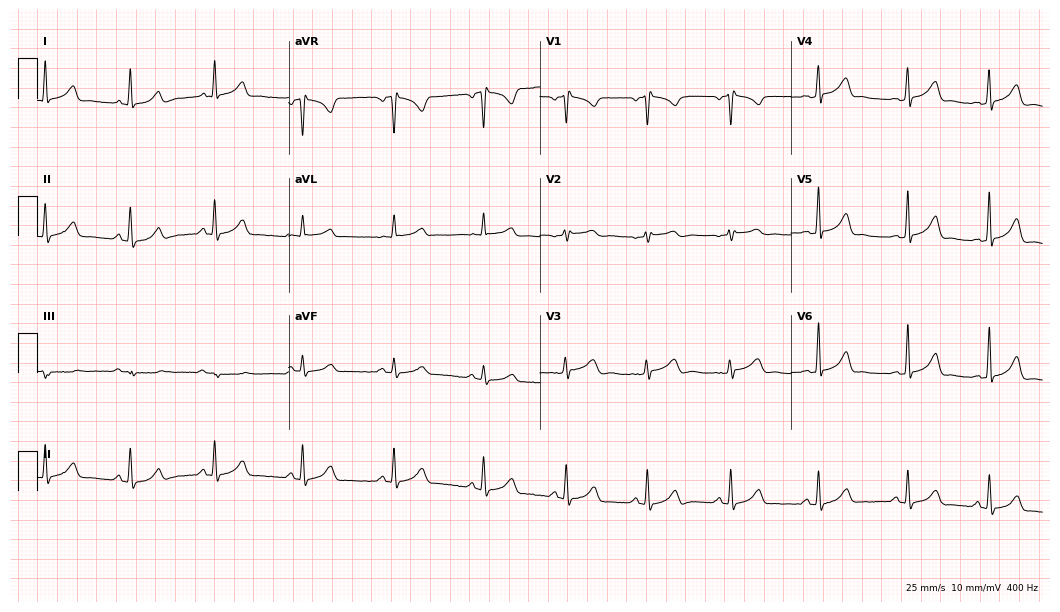
12-lead ECG from a female, 41 years old. Labelled as a normal ECG.